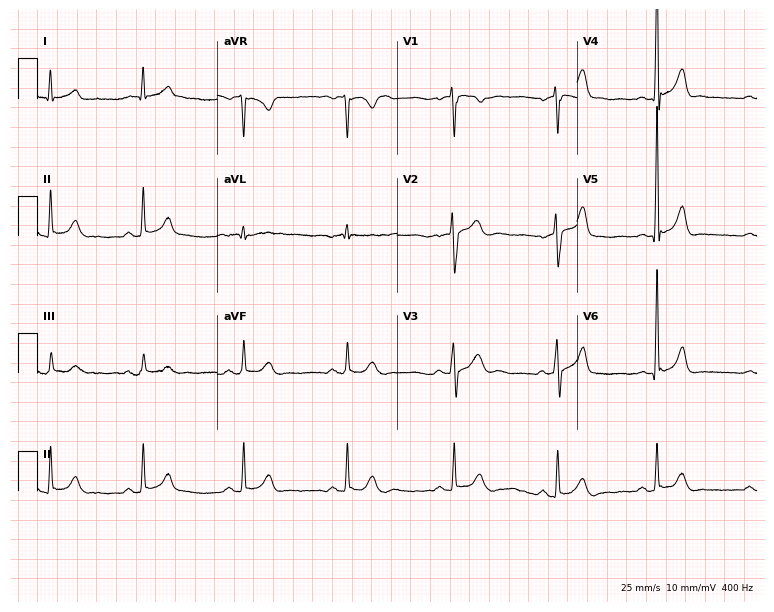
ECG — a 29-year-old man. Labelled as a normal ECG.